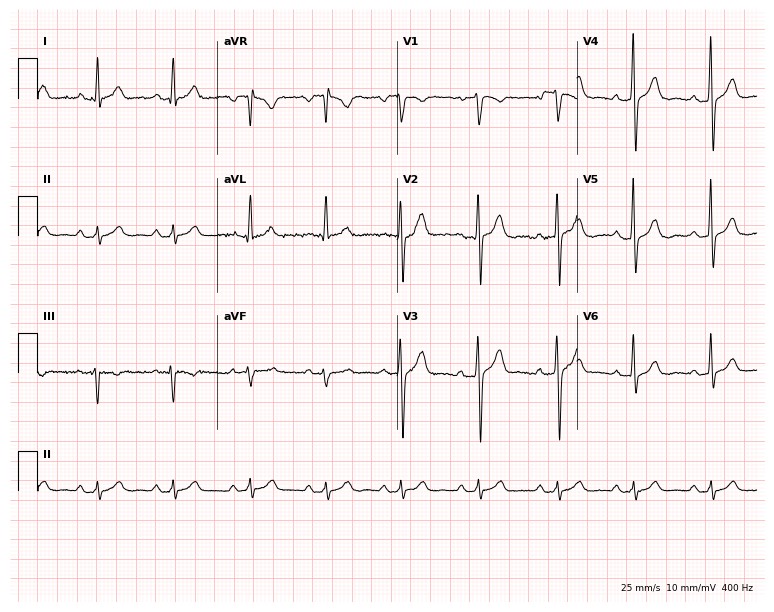
Electrocardiogram, a man, 43 years old. Overall reading on record: normal ECG.